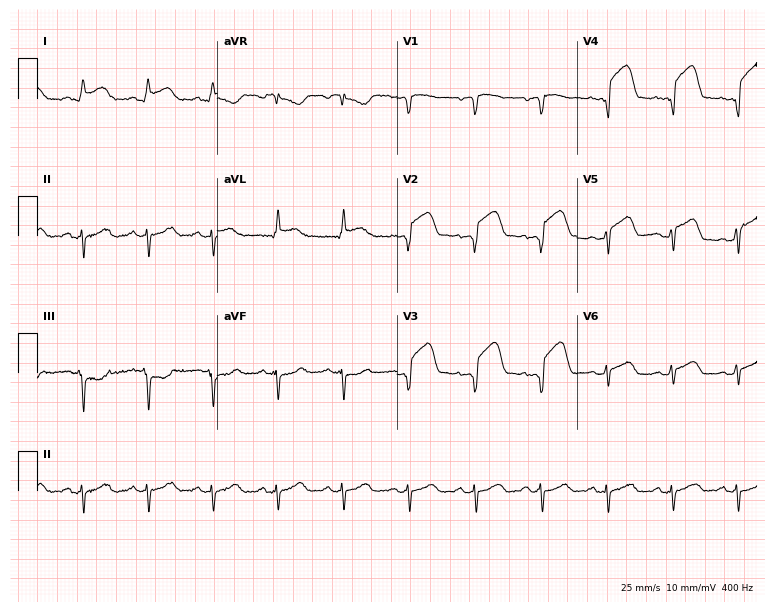
ECG (7.3-second recording at 400 Hz) — a 54-year-old male patient. Screened for six findings — first-degree AV block, right bundle branch block, left bundle branch block, sinus bradycardia, atrial fibrillation, sinus tachycardia — none is recorded. Findings outside these six are not listed.